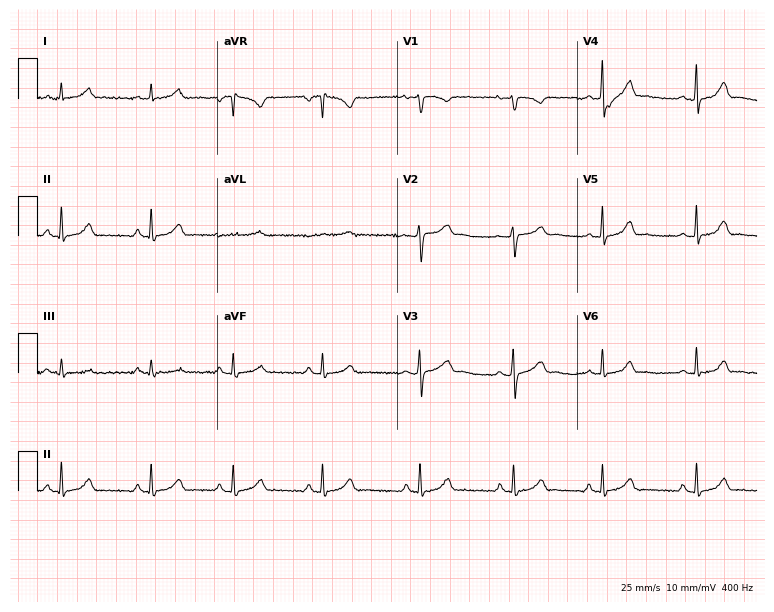
12-lead ECG (7.3-second recording at 400 Hz) from a woman, 27 years old. Screened for six findings — first-degree AV block, right bundle branch block, left bundle branch block, sinus bradycardia, atrial fibrillation, sinus tachycardia — none is recorded.